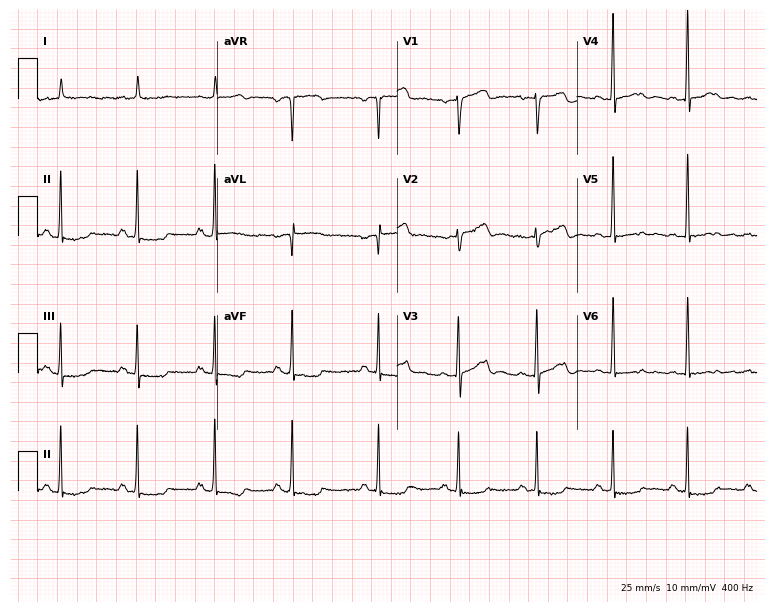
12-lead ECG from a 77-year-old female (7.3-second recording at 400 Hz). No first-degree AV block, right bundle branch block, left bundle branch block, sinus bradycardia, atrial fibrillation or sinus tachycardia recorded for this tracing. Other findings, if any, are not listed.